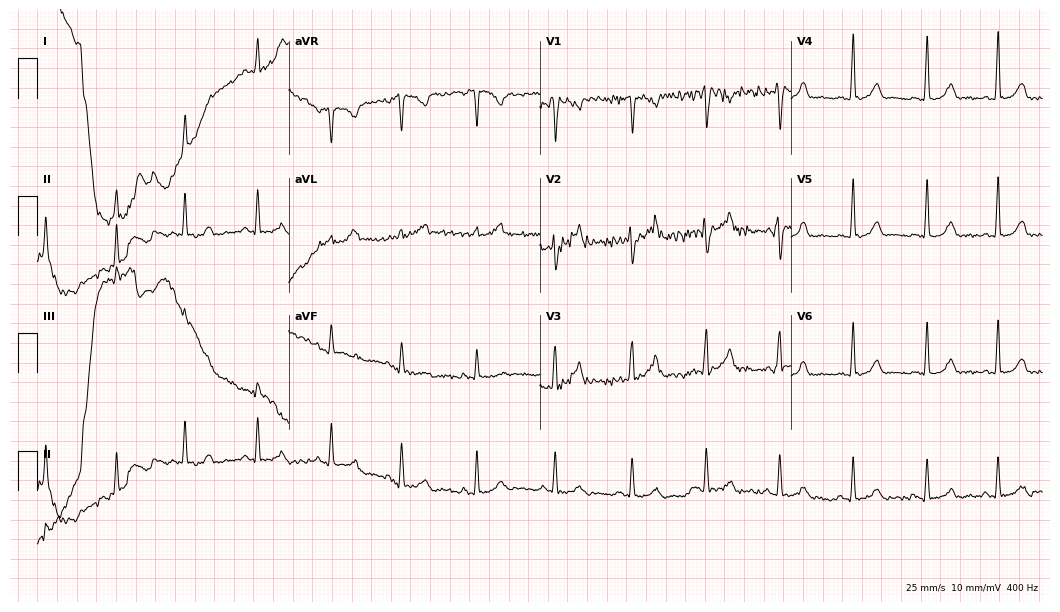
12-lead ECG from a 19-year-old woman. Recorded interpretation: within normal limits.